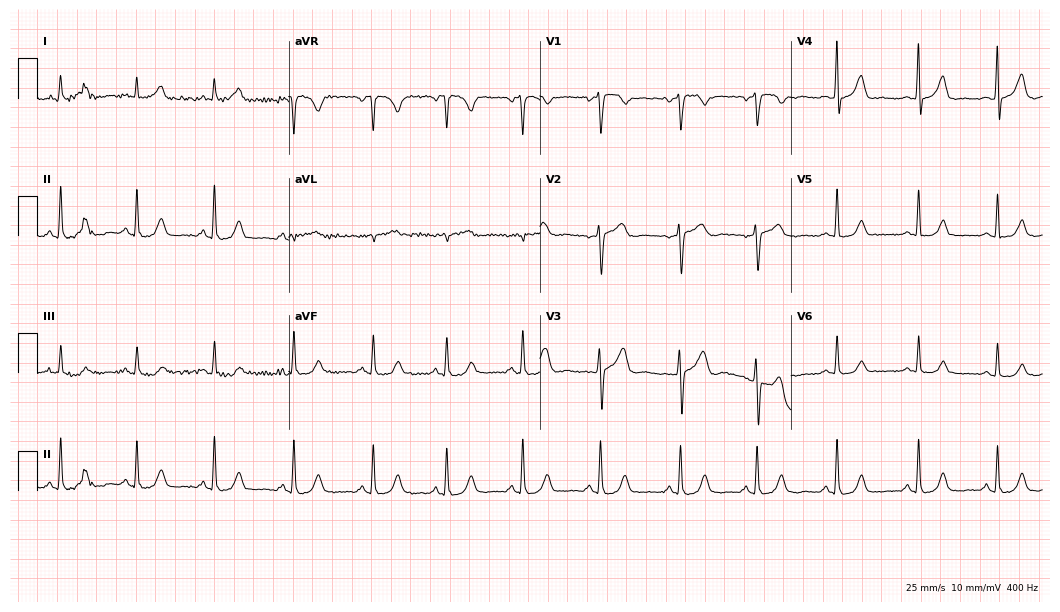
Standard 12-lead ECG recorded from a woman, 43 years old. Read as a normal ECG.